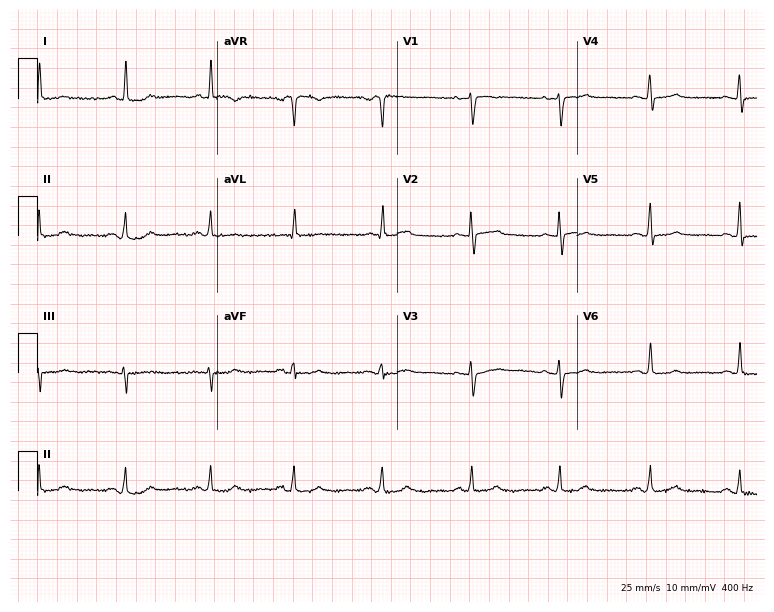
ECG (7.3-second recording at 400 Hz) — a female, 39 years old. Screened for six findings — first-degree AV block, right bundle branch block, left bundle branch block, sinus bradycardia, atrial fibrillation, sinus tachycardia — none is recorded.